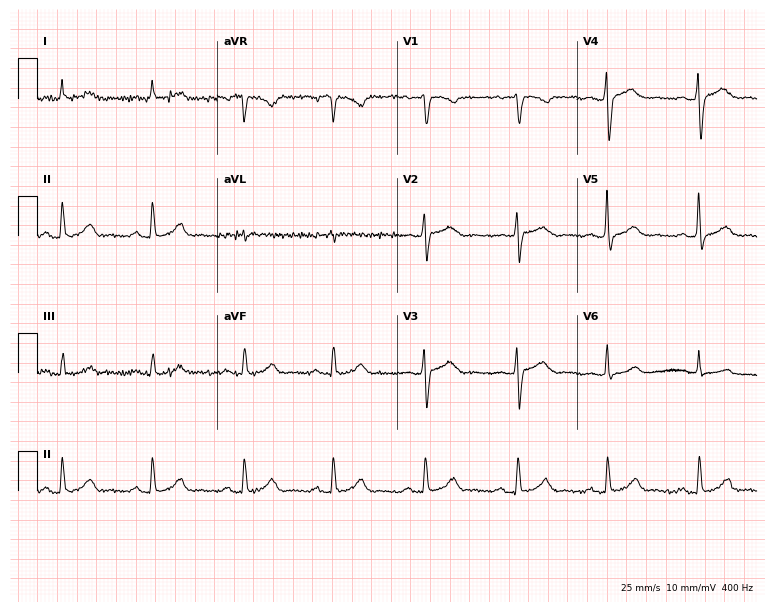
Standard 12-lead ECG recorded from a 51-year-old woman (7.3-second recording at 400 Hz). Read as a normal ECG.